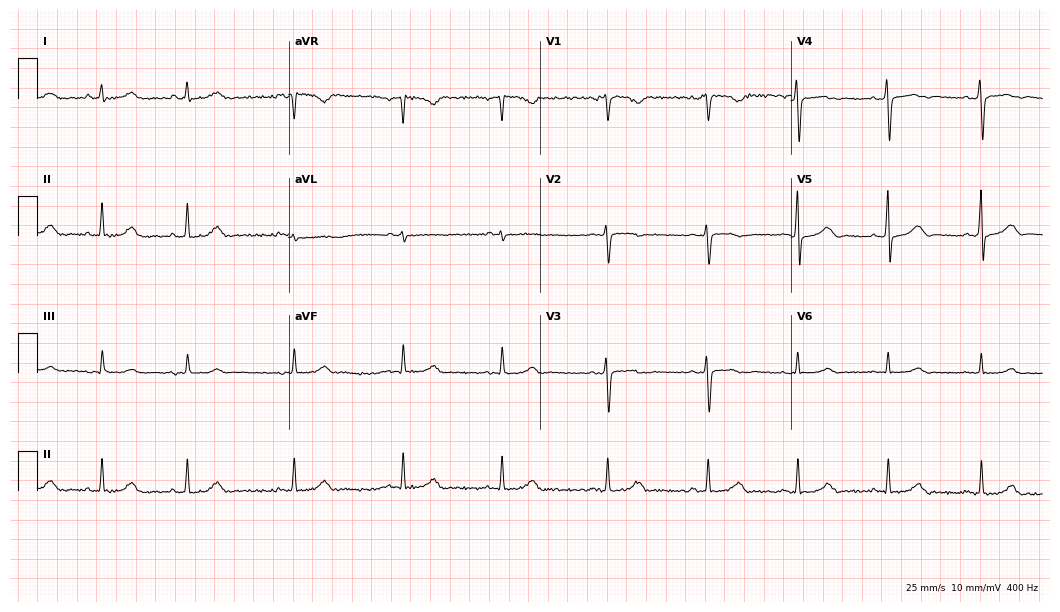
12-lead ECG from a 54-year-old woman. Labelled as a normal ECG.